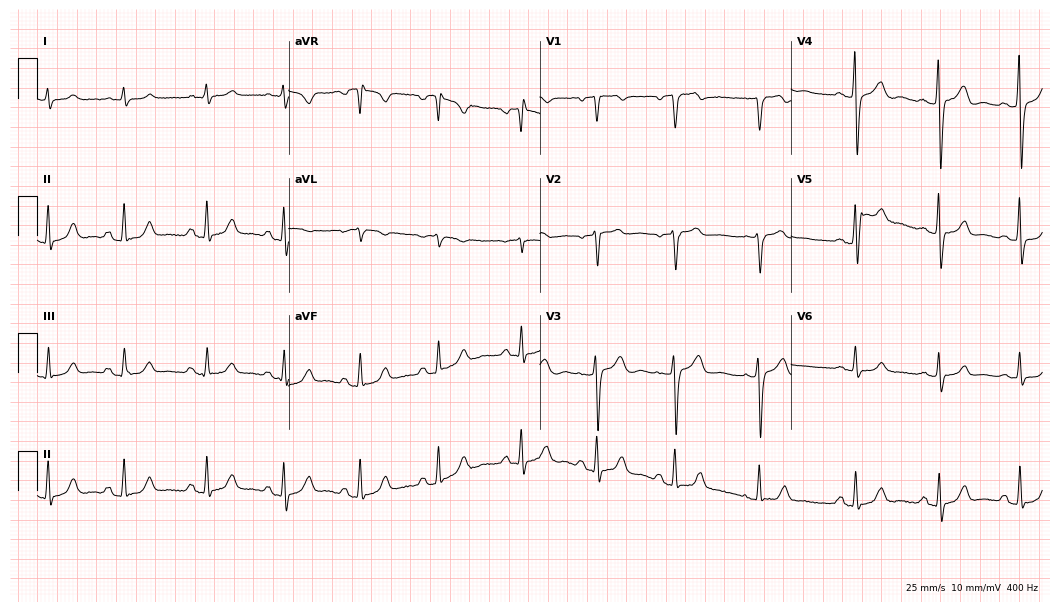
Electrocardiogram (10.2-second recording at 400 Hz), a female patient, 55 years old. Of the six screened findings (first-degree AV block, right bundle branch block (RBBB), left bundle branch block (LBBB), sinus bradycardia, atrial fibrillation (AF), sinus tachycardia), none is recorded. Other findings, if any, are not listed.